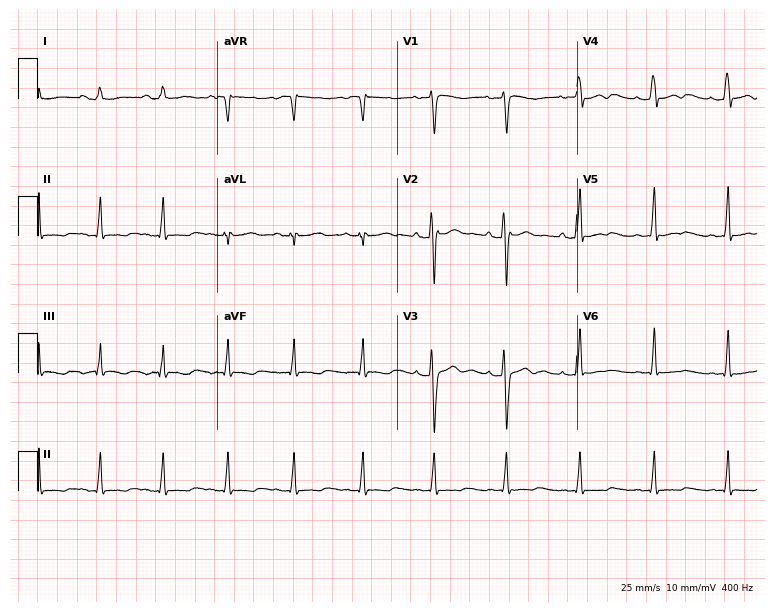
Electrocardiogram, a 24-year-old woman. Of the six screened findings (first-degree AV block, right bundle branch block, left bundle branch block, sinus bradycardia, atrial fibrillation, sinus tachycardia), none is recorded. Findings outside these six are not listed.